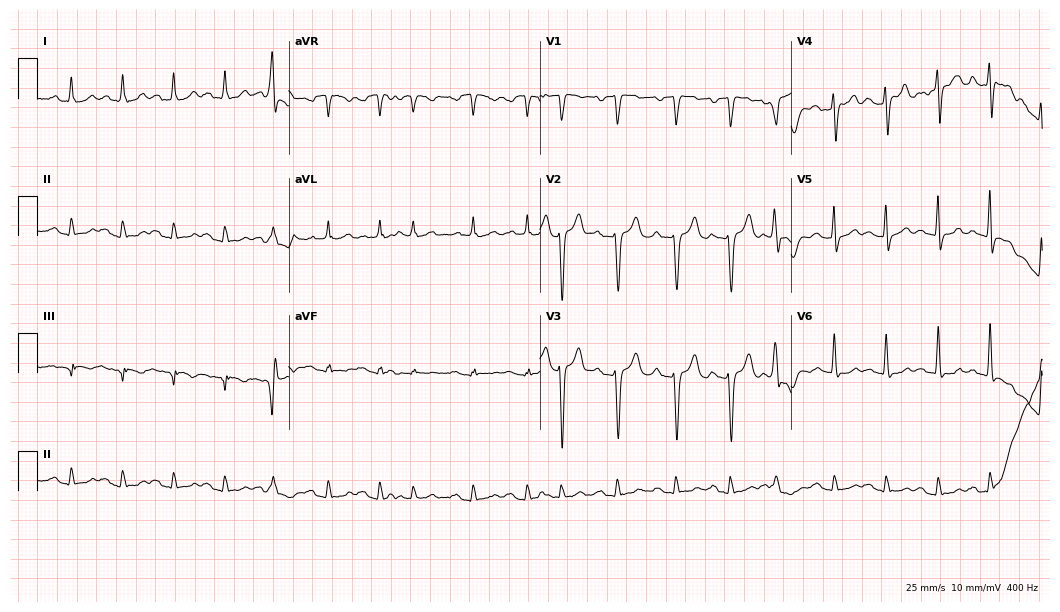
Resting 12-lead electrocardiogram (10.2-second recording at 400 Hz). Patient: a 79-year-old male. The tracing shows sinus tachycardia (a sinus rate of 100 beats per minute or more).